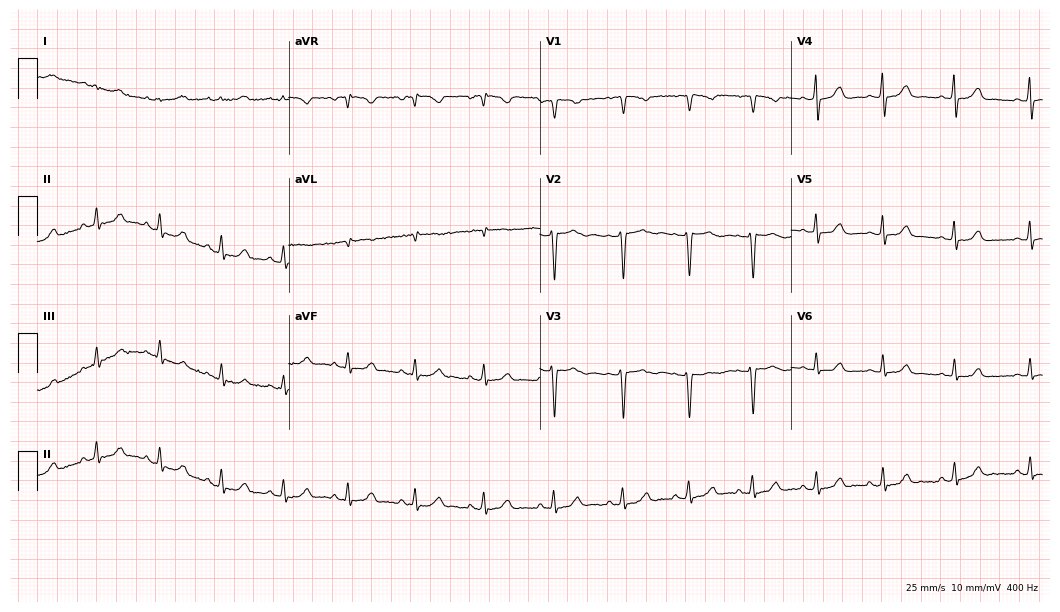
12-lead ECG from a female, 26 years old. Screened for six findings — first-degree AV block, right bundle branch block, left bundle branch block, sinus bradycardia, atrial fibrillation, sinus tachycardia — none is recorded.